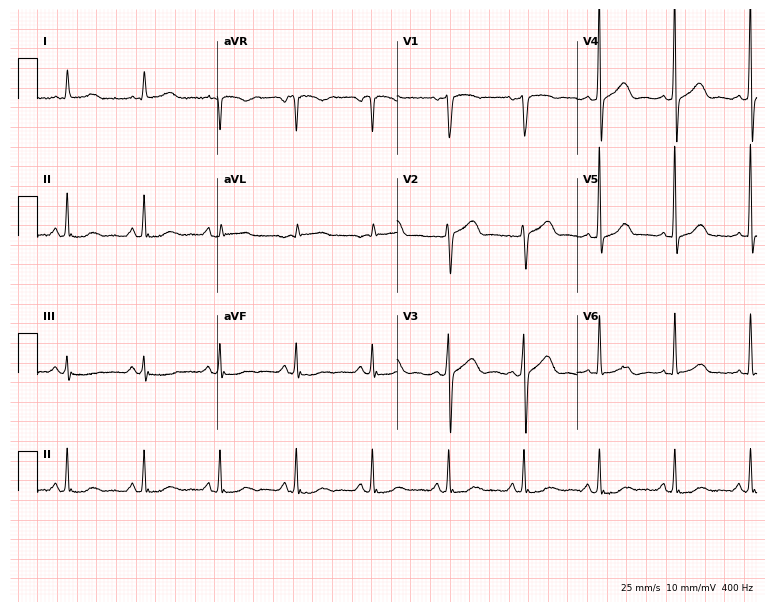
Electrocardiogram (7.3-second recording at 400 Hz), an 83-year-old male. Overall reading on record: normal ECG.